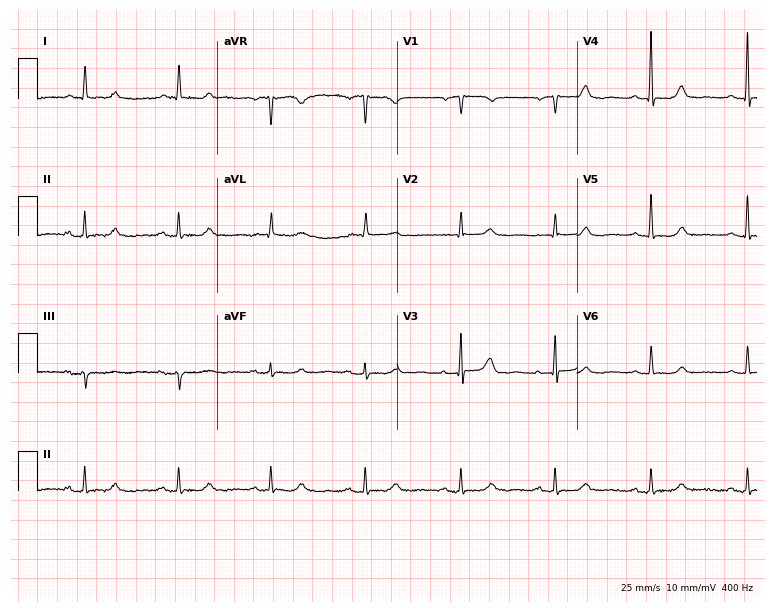
12-lead ECG from an 81-year-old female. Screened for six findings — first-degree AV block, right bundle branch block (RBBB), left bundle branch block (LBBB), sinus bradycardia, atrial fibrillation (AF), sinus tachycardia — none is recorded. Only these six findings were labelled.